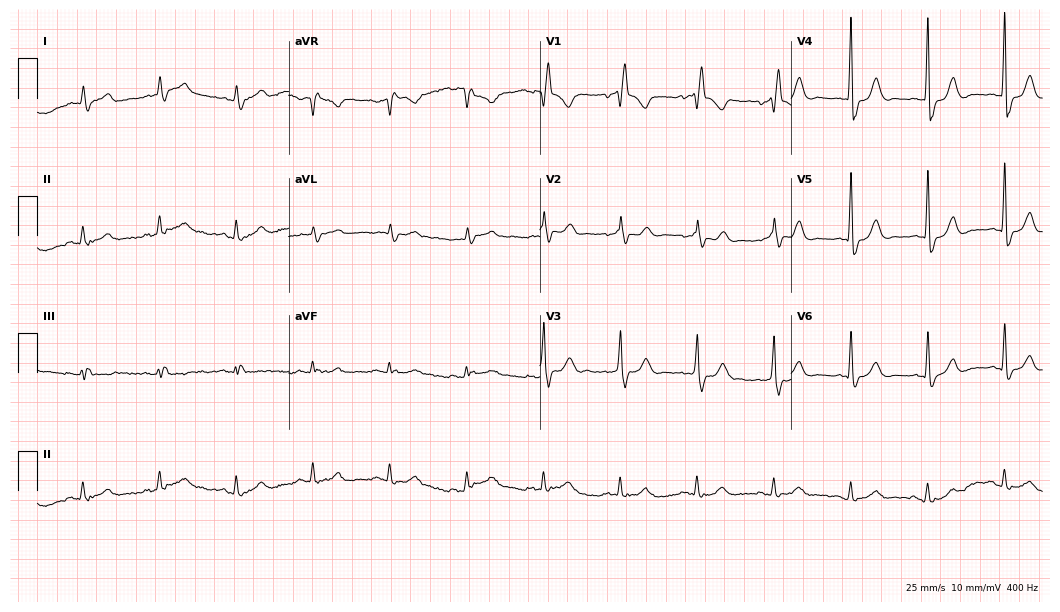
12-lead ECG from an 85-year-old man. Findings include right bundle branch block.